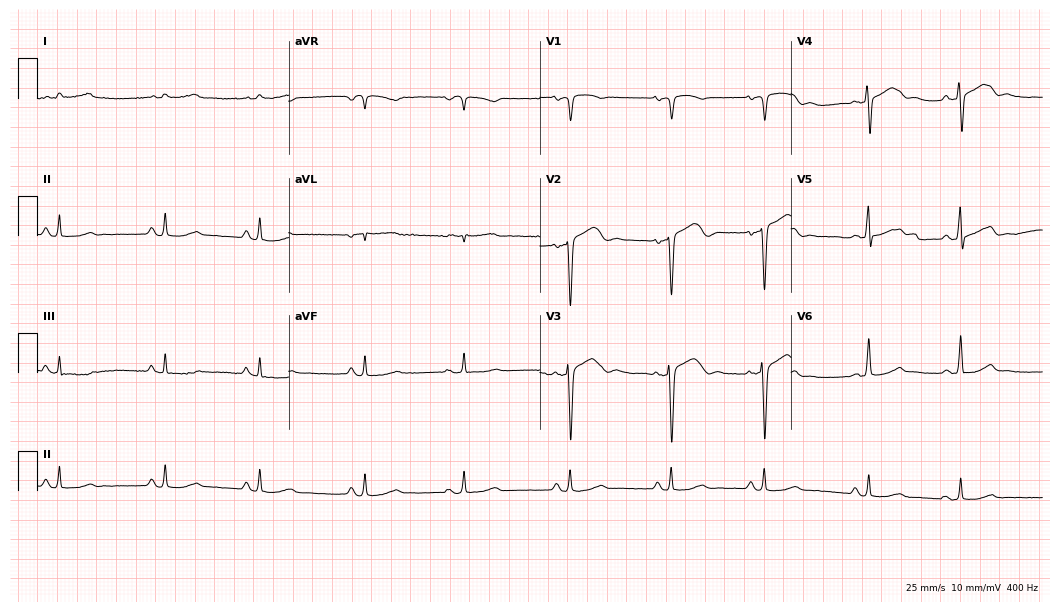
12-lead ECG (10.2-second recording at 400 Hz) from a 63-year-old man. Labelled as a normal ECG.